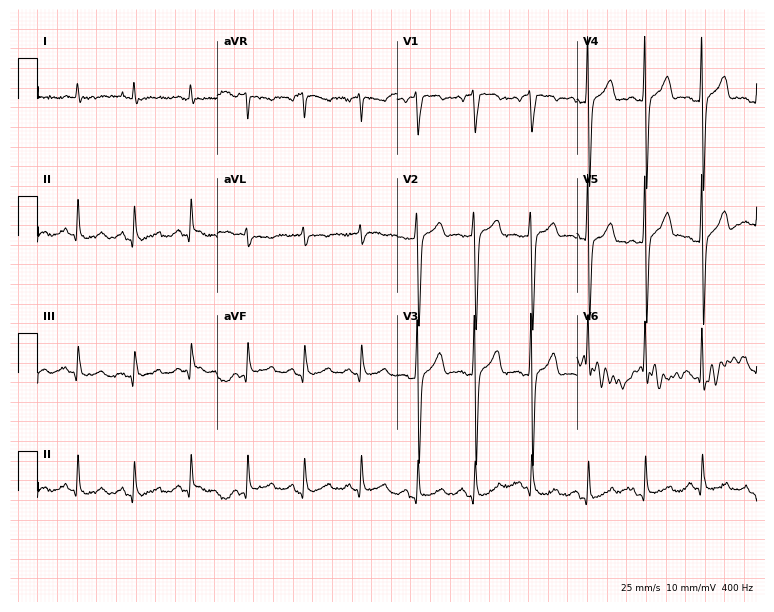
12-lead ECG (7.3-second recording at 400 Hz) from a 77-year-old male patient. Screened for six findings — first-degree AV block, right bundle branch block (RBBB), left bundle branch block (LBBB), sinus bradycardia, atrial fibrillation (AF), sinus tachycardia — none is recorded. Other findings, if any, are not listed.